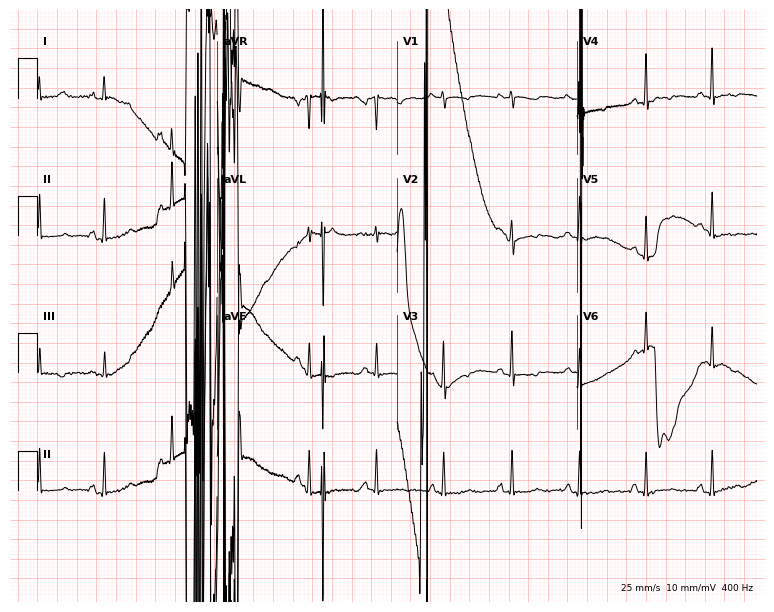
Standard 12-lead ECG recorded from a 56-year-old female patient. None of these six findings is recorded: first-degree AV block, right bundle branch block (RBBB), left bundle branch block (LBBB), sinus bradycardia, atrial fibrillation (AF), sinus tachycardia. Other findings, if any, are not listed.